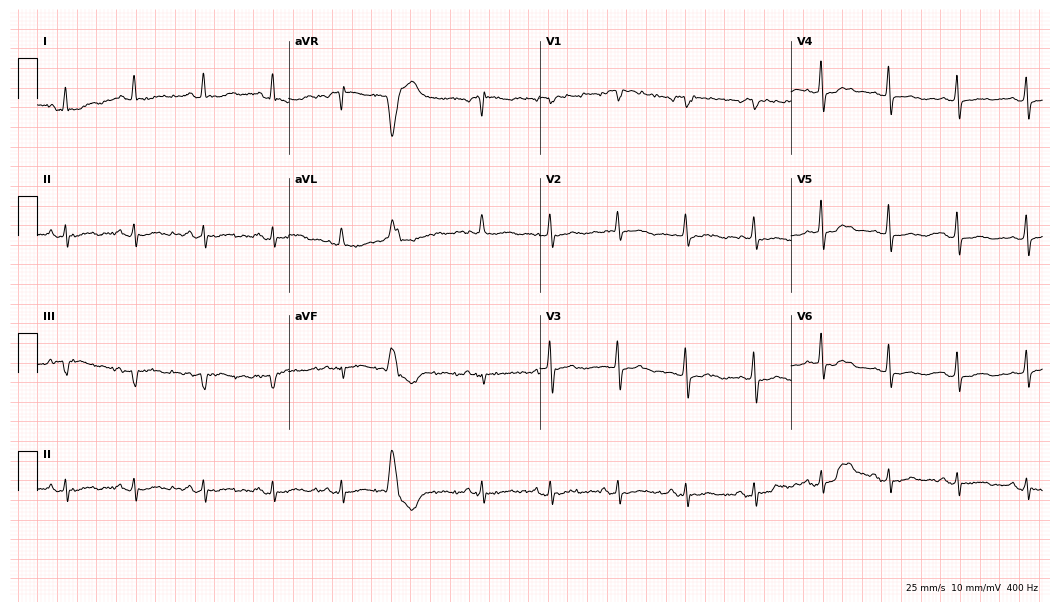
Standard 12-lead ECG recorded from an 82-year-old female patient. None of these six findings is recorded: first-degree AV block, right bundle branch block, left bundle branch block, sinus bradycardia, atrial fibrillation, sinus tachycardia. Other findings, if any, are not listed.